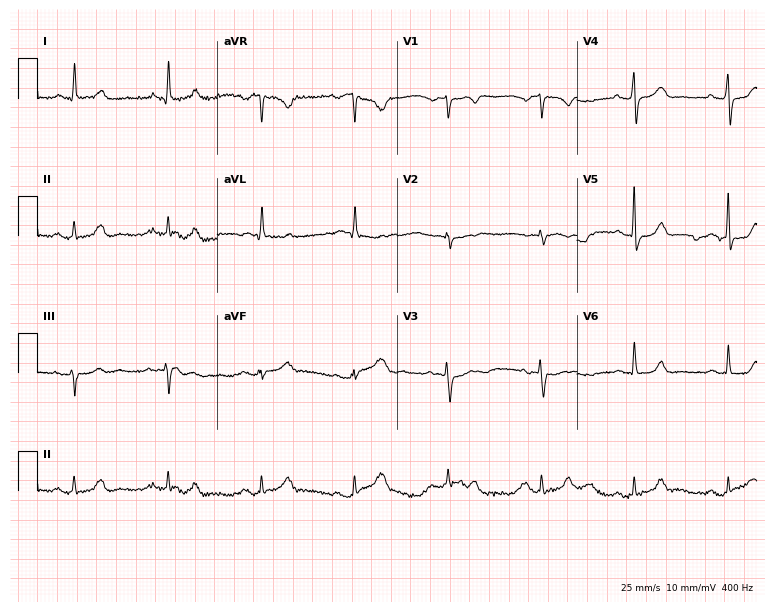
Electrocardiogram (7.3-second recording at 400 Hz), a female patient, 71 years old. Overall reading on record: normal ECG.